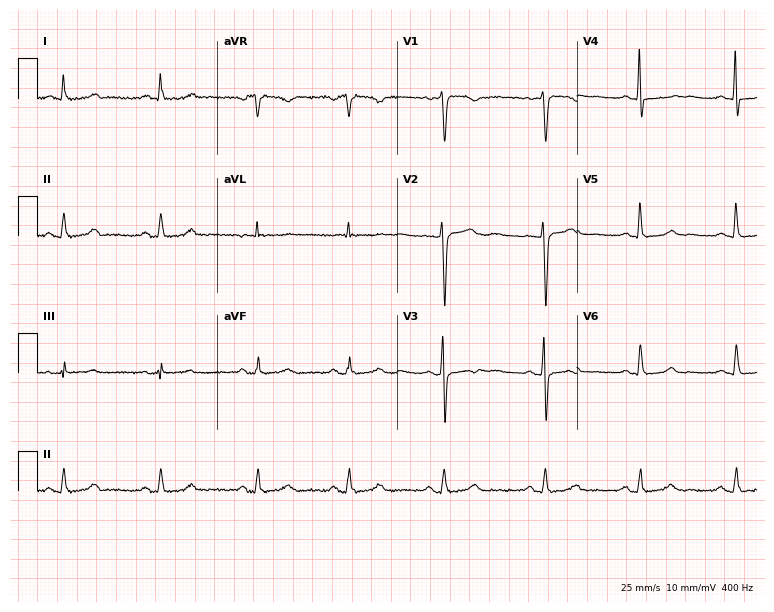
ECG — a 38-year-old woman. Screened for six findings — first-degree AV block, right bundle branch block (RBBB), left bundle branch block (LBBB), sinus bradycardia, atrial fibrillation (AF), sinus tachycardia — none is recorded.